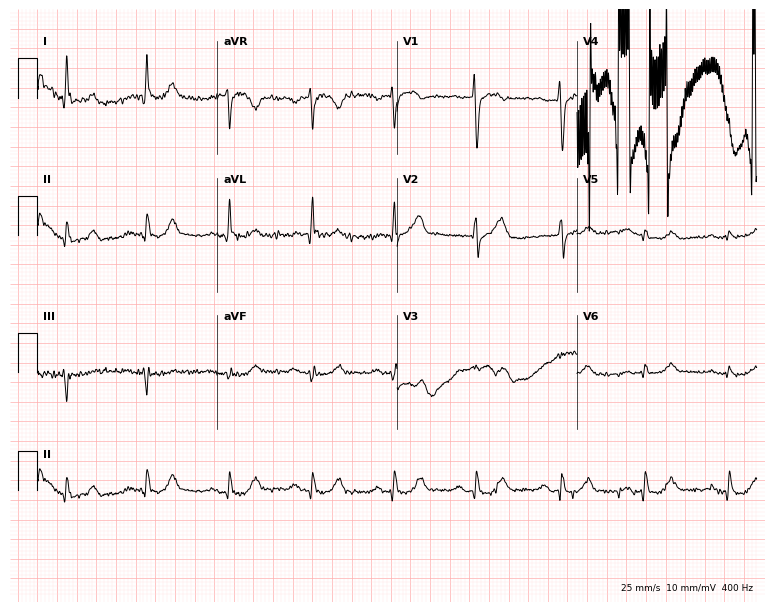
ECG — a 55-year-old woman. Screened for six findings — first-degree AV block, right bundle branch block (RBBB), left bundle branch block (LBBB), sinus bradycardia, atrial fibrillation (AF), sinus tachycardia — none is recorded. Findings outside these six are not listed.